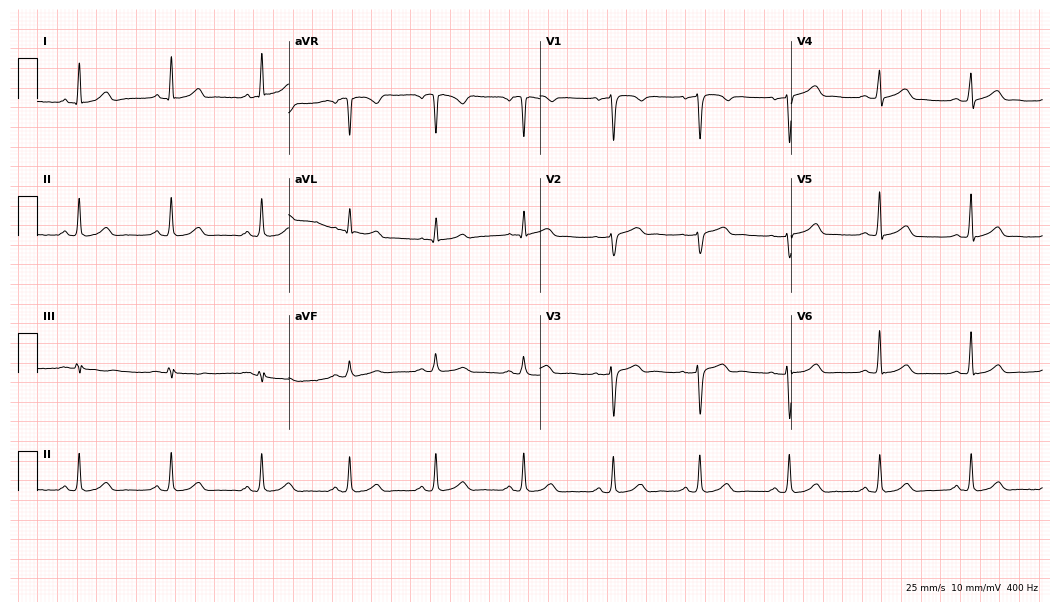
12-lead ECG from a 36-year-old female. Labelled as a normal ECG.